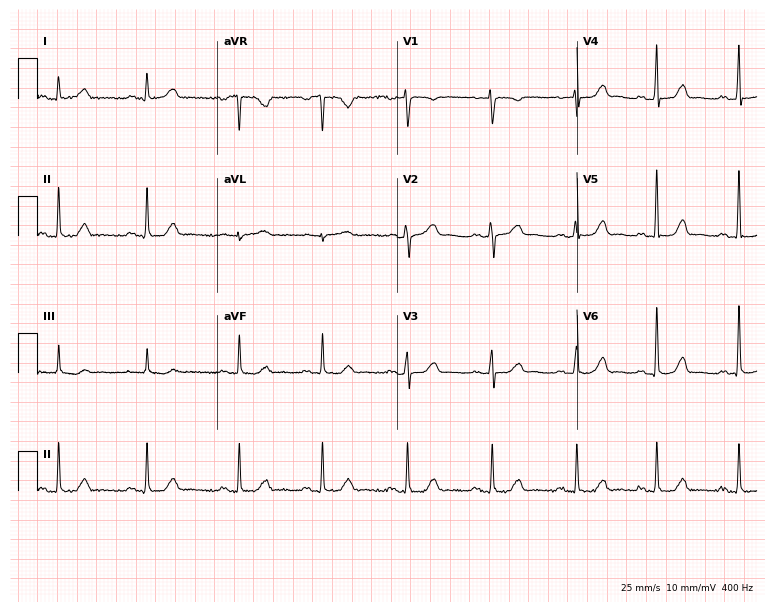
ECG (7.3-second recording at 400 Hz) — a 44-year-old female. Screened for six findings — first-degree AV block, right bundle branch block, left bundle branch block, sinus bradycardia, atrial fibrillation, sinus tachycardia — none is recorded.